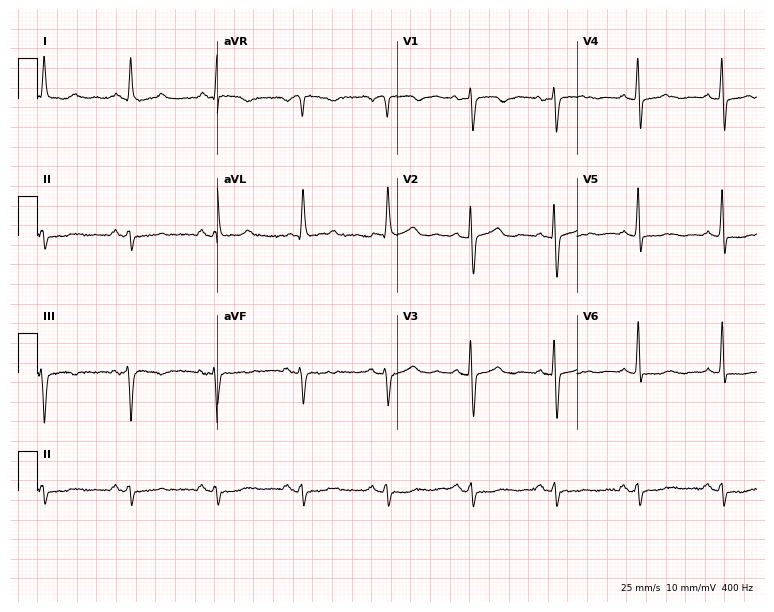
Standard 12-lead ECG recorded from a female patient, 79 years old (7.3-second recording at 400 Hz). None of these six findings is recorded: first-degree AV block, right bundle branch block (RBBB), left bundle branch block (LBBB), sinus bradycardia, atrial fibrillation (AF), sinus tachycardia. Findings outside these six are not listed.